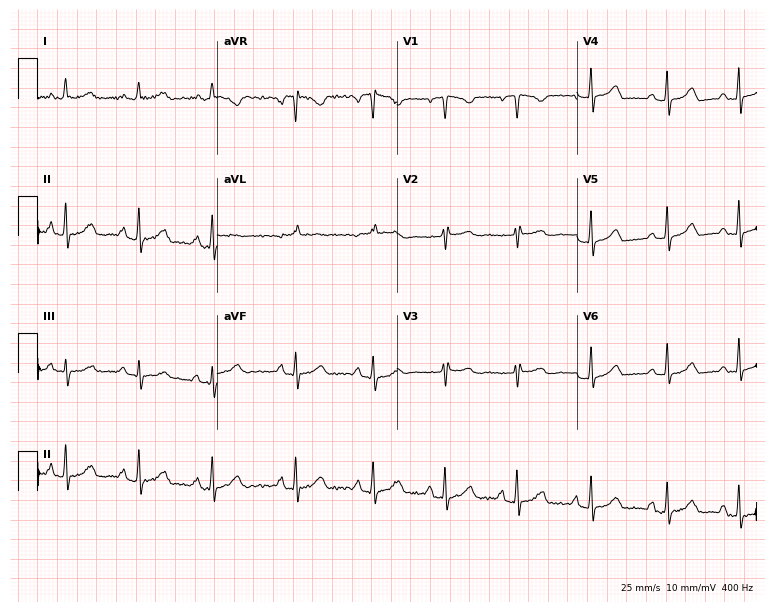
Resting 12-lead electrocardiogram (7.3-second recording at 400 Hz). Patient: a 31-year-old woman. None of these six findings is recorded: first-degree AV block, right bundle branch block (RBBB), left bundle branch block (LBBB), sinus bradycardia, atrial fibrillation (AF), sinus tachycardia.